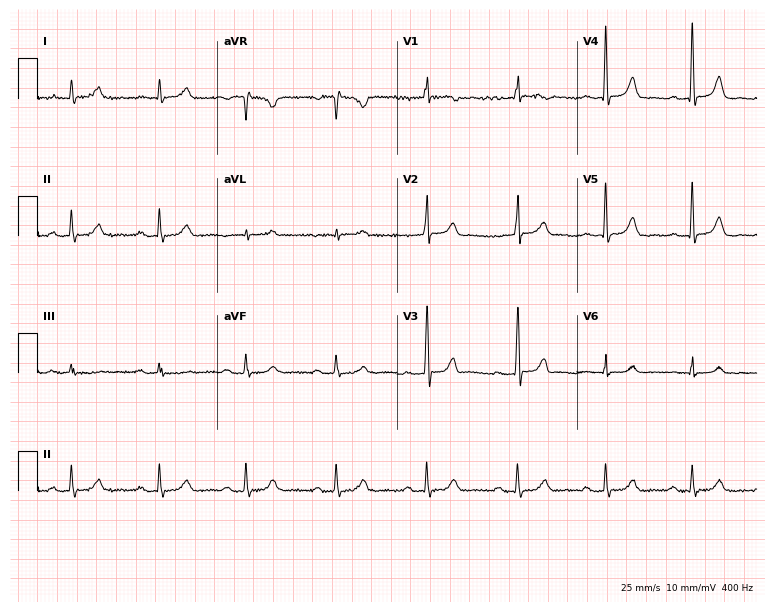
Standard 12-lead ECG recorded from an 84-year-old woman. The tracing shows first-degree AV block.